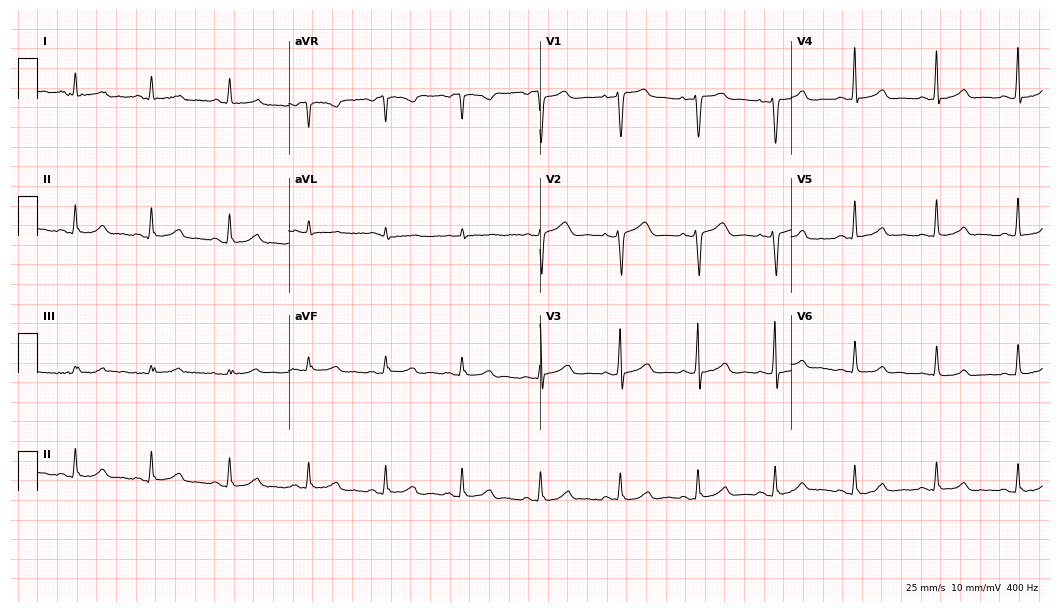
Standard 12-lead ECG recorded from a 45-year-old woman (10.2-second recording at 400 Hz). Read as a normal ECG.